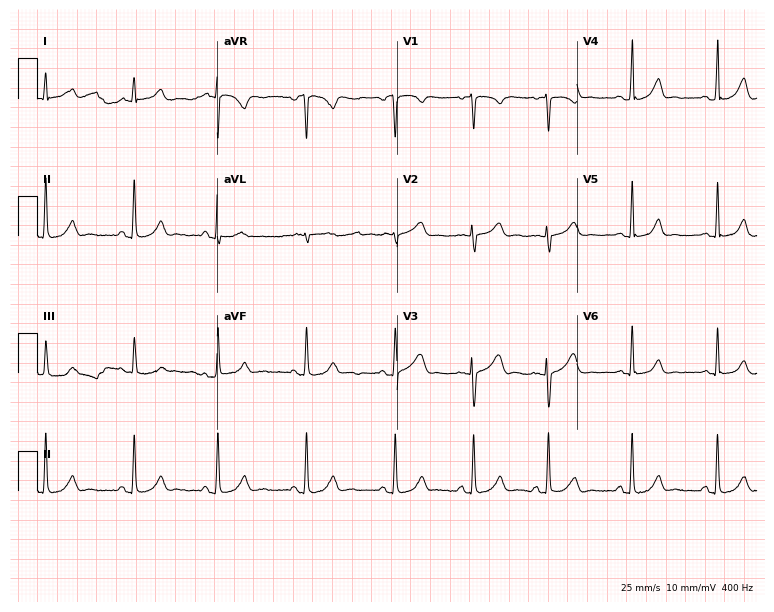
ECG — a female patient, 17 years old. Labelled as a normal ECG.